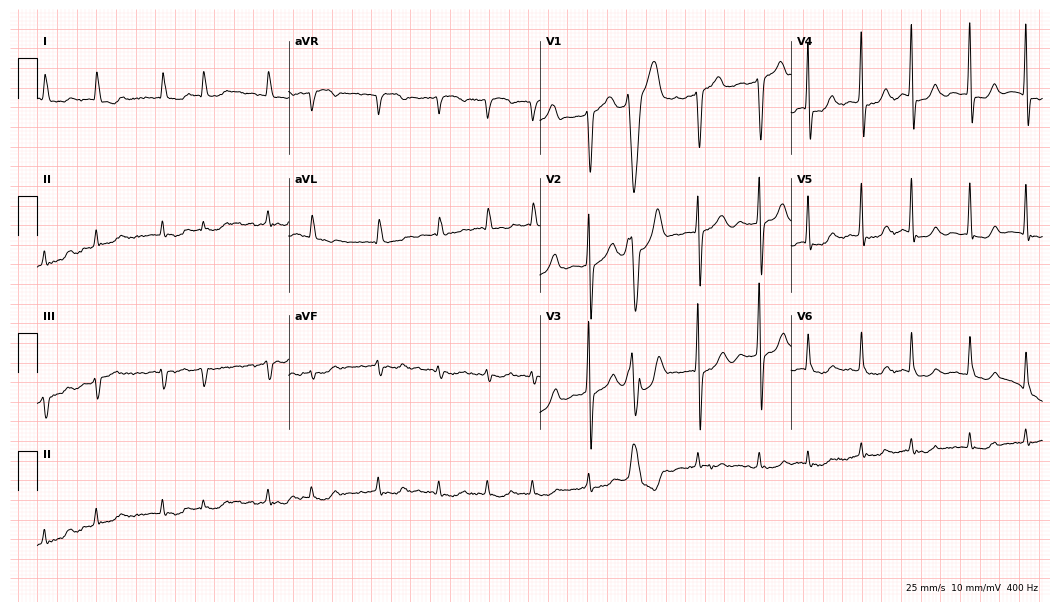
12-lead ECG from a male patient, 79 years old. Shows atrial fibrillation (AF).